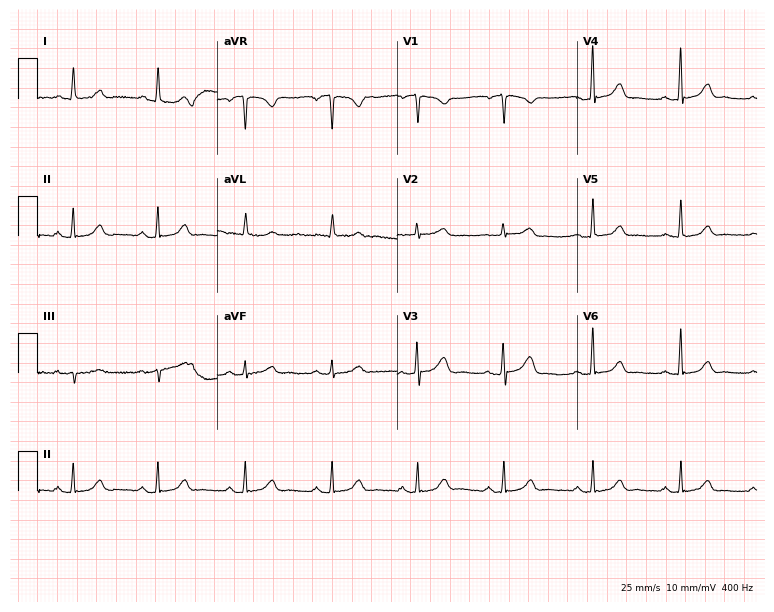
Resting 12-lead electrocardiogram (7.3-second recording at 400 Hz). Patient: a woman, 44 years old. Read as a normal ECG.